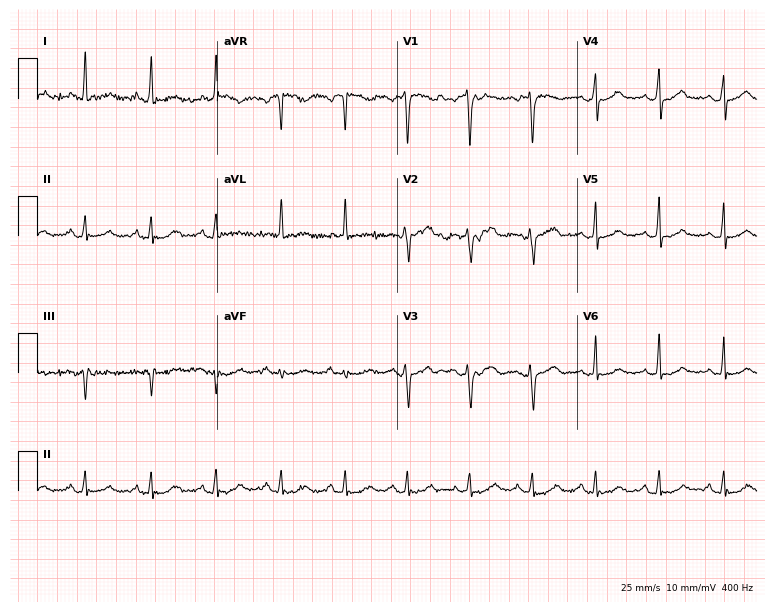
12-lead ECG from a 40-year-old woman. Recorded interpretation: within normal limits.